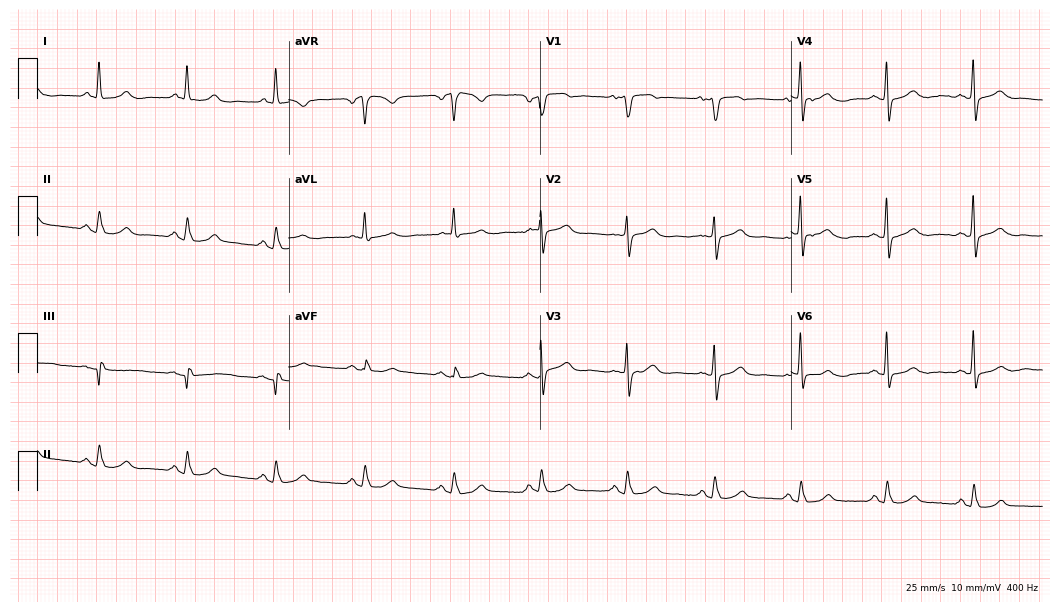
12-lead ECG from a 73-year-old man. No first-degree AV block, right bundle branch block (RBBB), left bundle branch block (LBBB), sinus bradycardia, atrial fibrillation (AF) or sinus tachycardia recorded for this tracing.